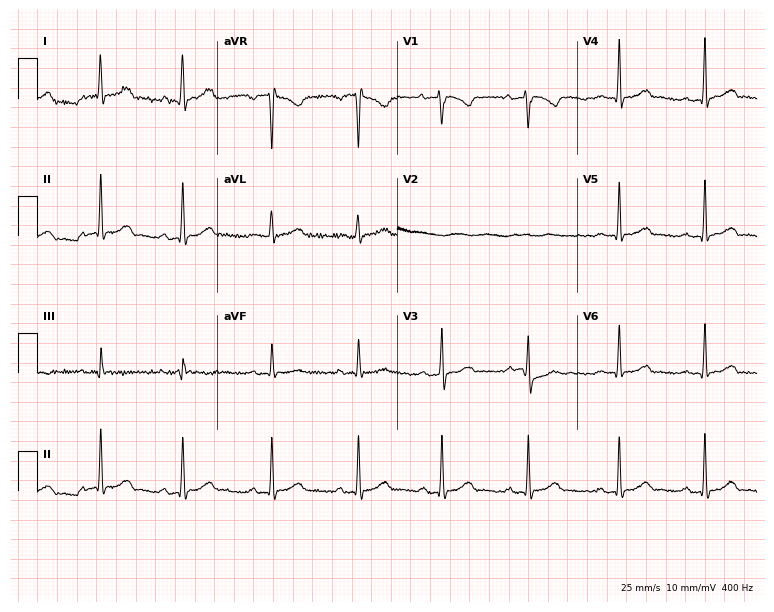
12-lead ECG (7.3-second recording at 400 Hz) from a 26-year-old female patient. Labelled as a normal ECG.